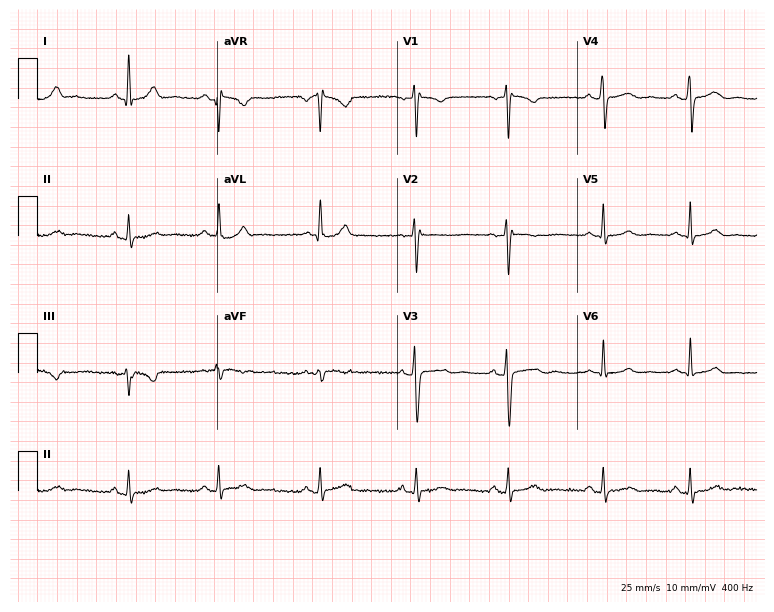
12-lead ECG from a woman, 33 years old (7.3-second recording at 400 Hz). No first-degree AV block, right bundle branch block, left bundle branch block, sinus bradycardia, atrial fibrillation or sinus tachycardia recorded for this tracing. Only these six findings were labelled.